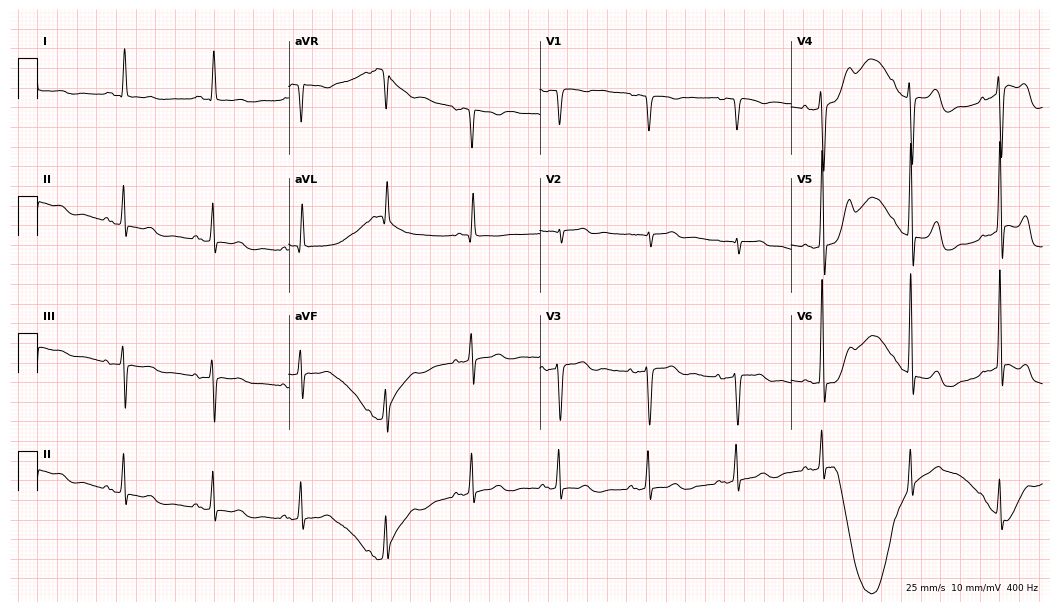
12-lead ECG from a female patient, 64 years old (10.2-second recording at 400 Hz). No first-degree AV block, right bundle branch block, left bundle branch block, sinus bradycardia, atrial fibrillation or sinus tachycardia recorded for this tracing. Other findings, if any, are not listed.